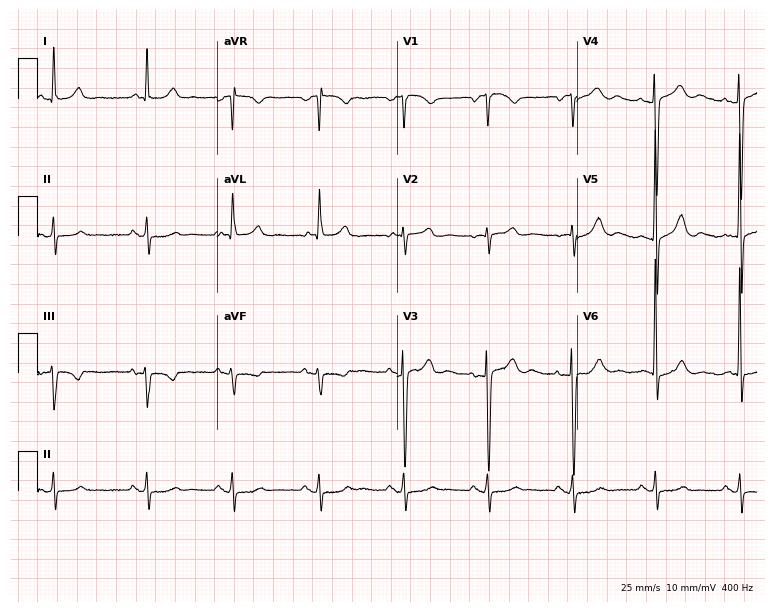
Standard 12-lead ECG recorded from an 81-year-old woman (7.3-second recording at 400 Hz). Read as a normal ECG.